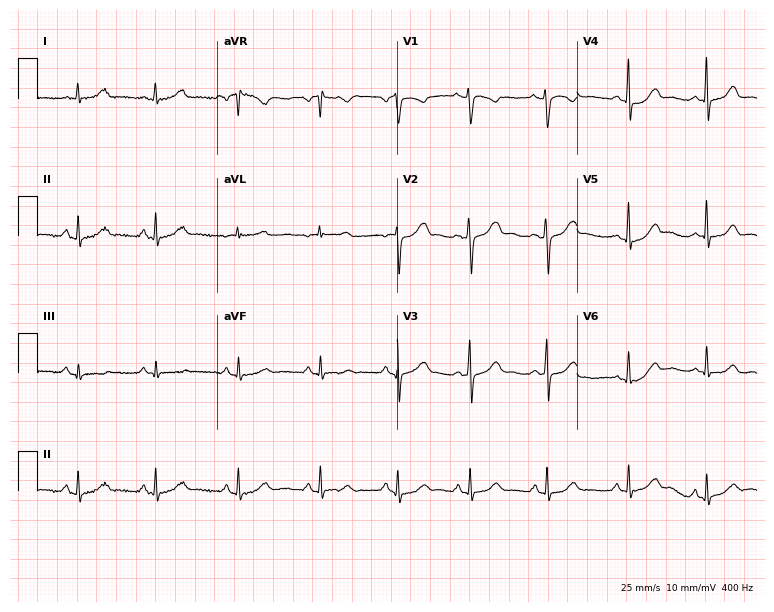
Electrocardiogram, a woman, 38 years old. Of the six screened findings (first-degree AV block, right bundle branch block, left bundle branch block, sinus bradycardia, atrial fibrillation, sinus tachycardia), none is recorded.